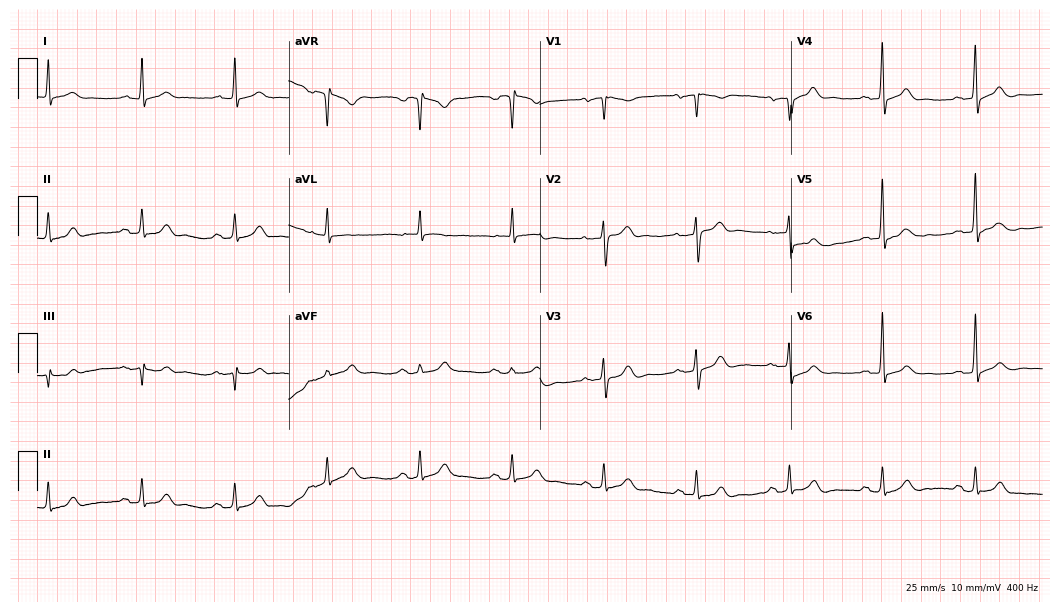
Standard 12-lead ECG recorded from a 76-year-old male patient. None of these six findings is recorded: first-degree AV block, right bundle branch block (RBBB), left bundle branch block (LBBB), sinus bradycardia, atrial fibrillation (AF), sinus tachycardia.